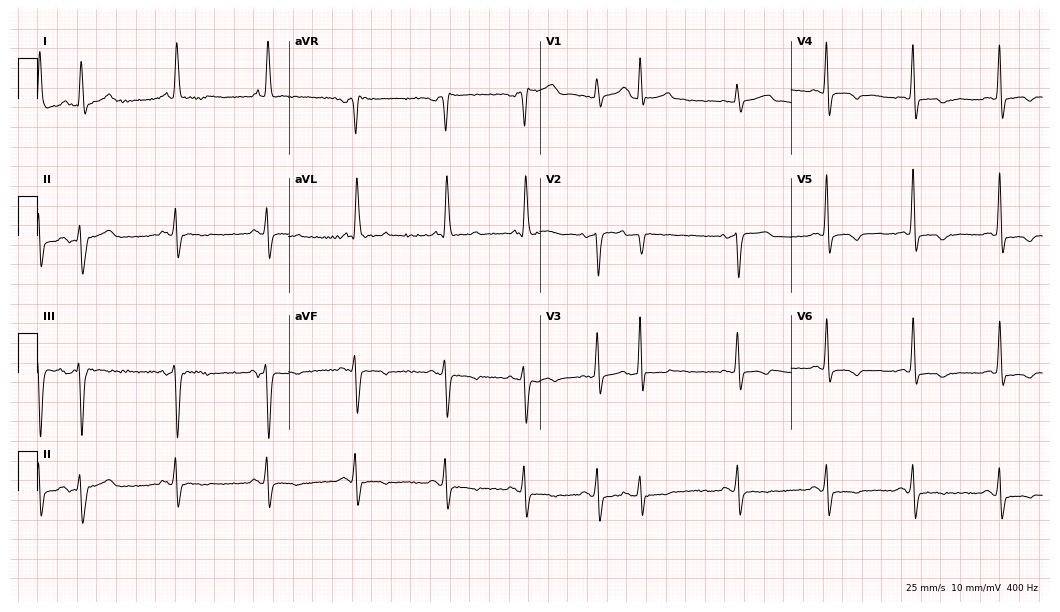
ECG — an 84-year-old female. Screened for six findings — first-degree AV block, right bundle branch block (RBBB), left bundle branch block (LBBB), sinus bradycardia, atrial fibrillation (AF), sinus tachycardia — none is recorded. Other findings, if any, are not listed.